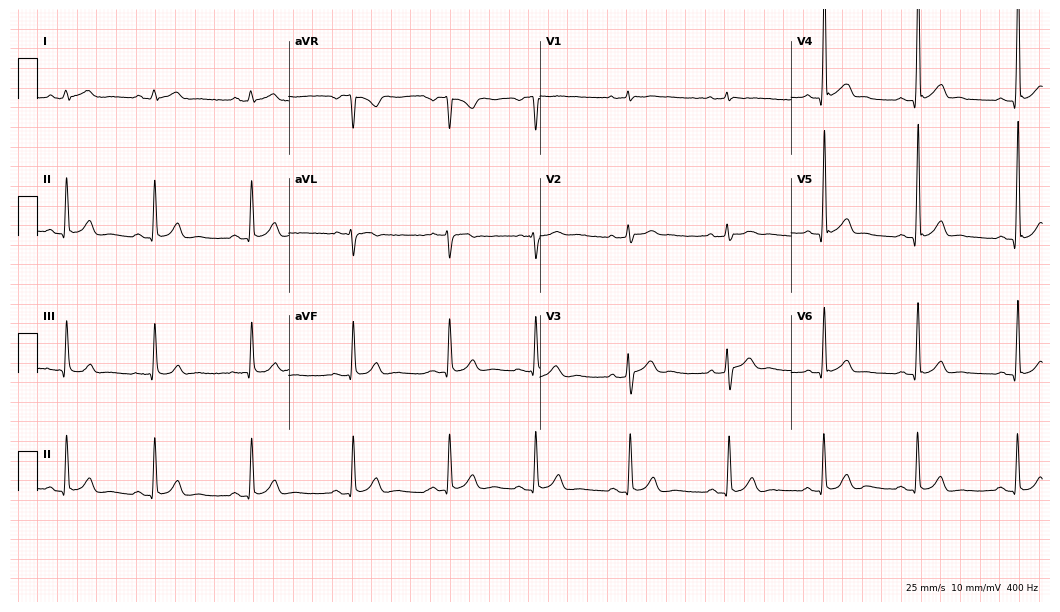
Electrocardiogram (10.2-second recording at 400 Hz), a male patient, 17 years old. Of the six screened findings (first-degree AV block, right bundle branch block, left bundle branch block, sinus bradycardia, atrial fibrillation, sinus tachycardia), none is recorded. Only these six findings were labelled.